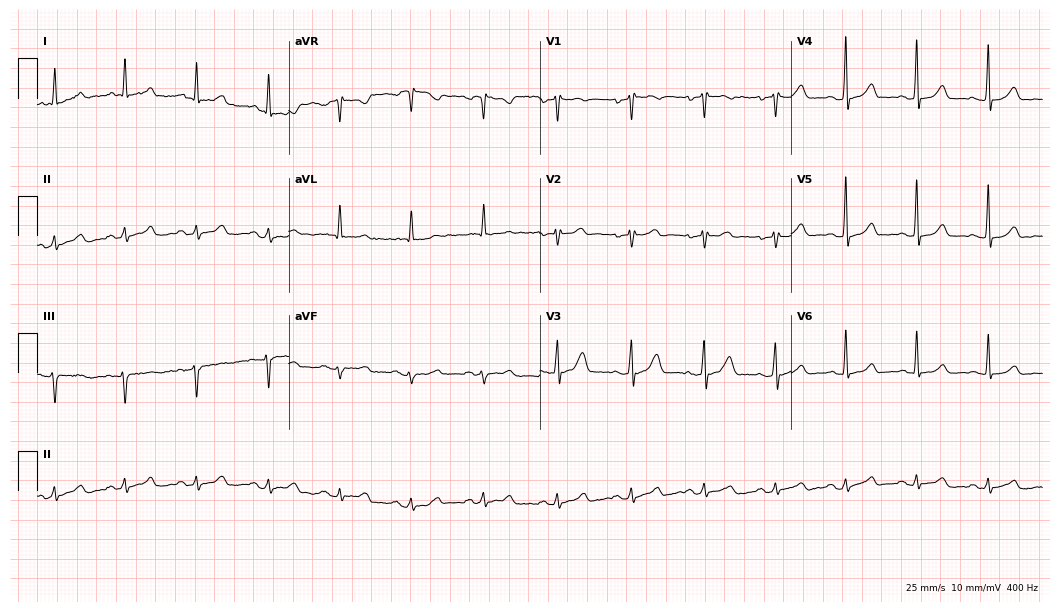
ECG — a female patient, 50 years old. Labelled as a normal ECG.